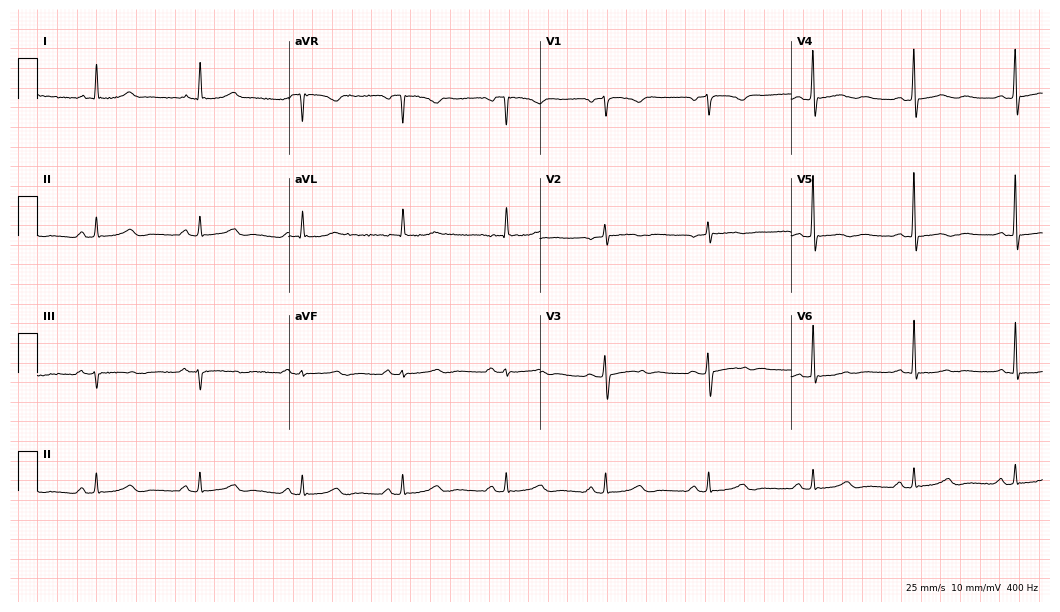
12-lead ECG from a 56-year-old woman (10.2-second recording at 400 Hz). No first-degree AV block, right bundle branch block (RBBB), left bundle branch block (LBBB), sinus bradycardia, atrial fibrillation (AF) or sinus tachycardia recorded for this tracing.